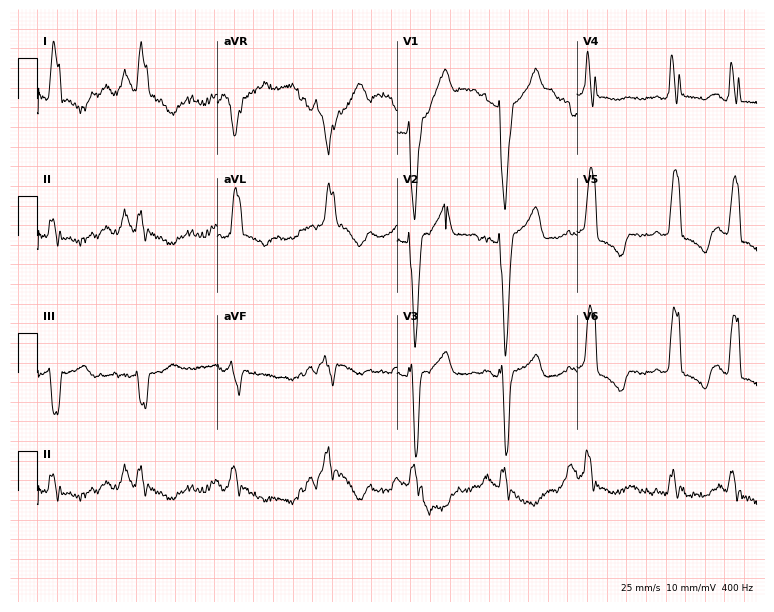
Resting 12-lead electrocardiogram. Patient: a woman, 81 years old. The tracing shows left bundle branch block.